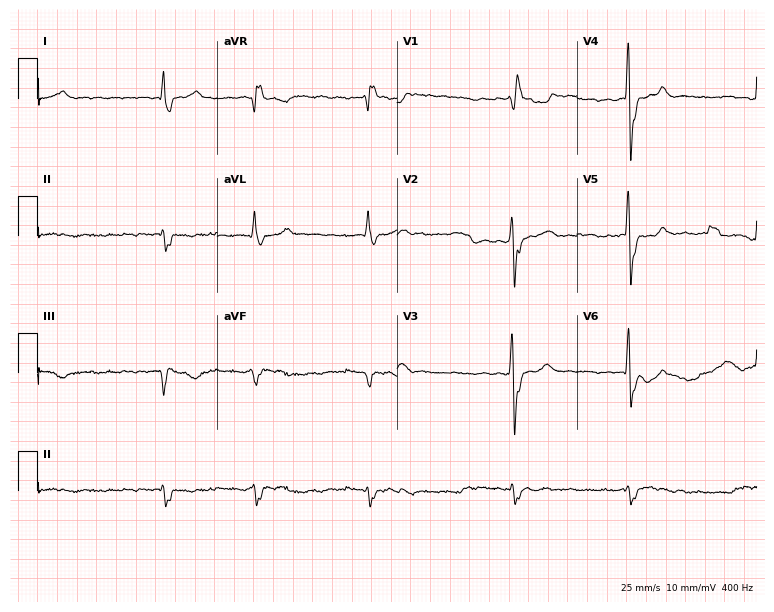
Standard 12-lead ECG recorded from a male patient, 76 years old (7.3-second recording at 400 Hz). The tracing shows right bundle branch block (RBBB), atrial fibrillation (AF).